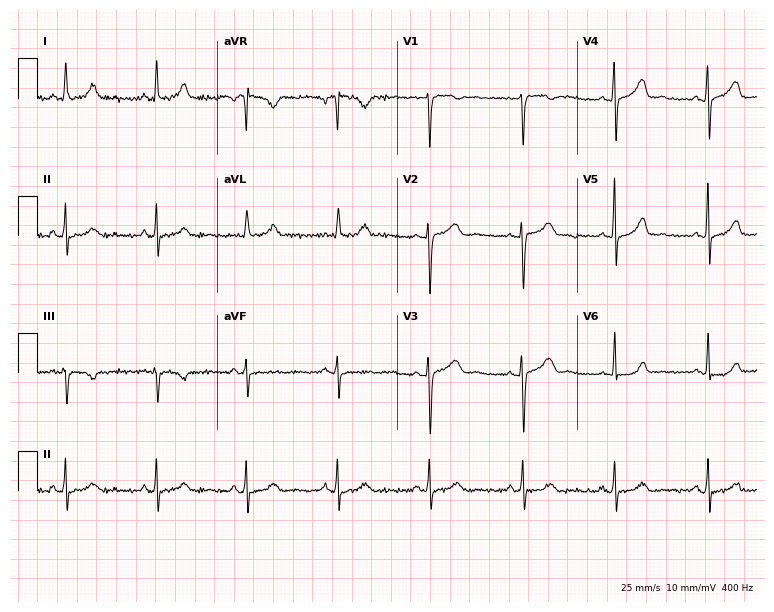
Resting 12-lead electrocardiogram (7.3-second recording at 400 Hz). Patient: a female, 44 years old. None of these six findings is recorded: first-degree AV block, right bundle branch block, left bundle branch block, sinus bradycardia, atrial fibrillation, sinus tachycardia.